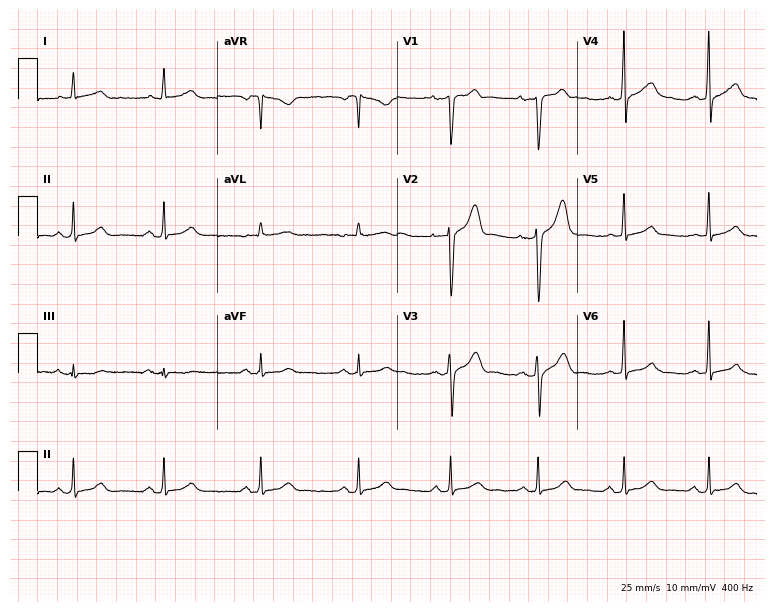
12-lead ECG (7.3-second recording at 400 Hz) from a 62-year-old man. Labelled as a normal ECG.